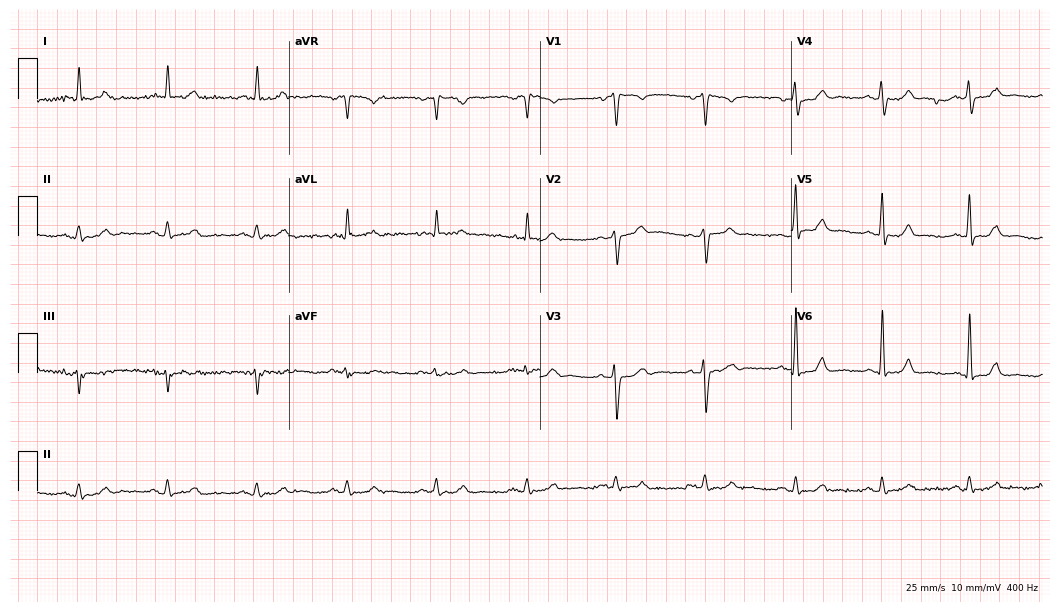
Electrocardiogram (10.2-second recording at 400 Hz), a male patient, 74 years old. Of the six screened findings (first-degree AV block, right bundle branch block (RBBB), left bundle branch block (LBBB), sinus bradycardia, atrial fibrillation (AF), sinus tachycardia), none is recorded. Other findings, if any, are not listed.